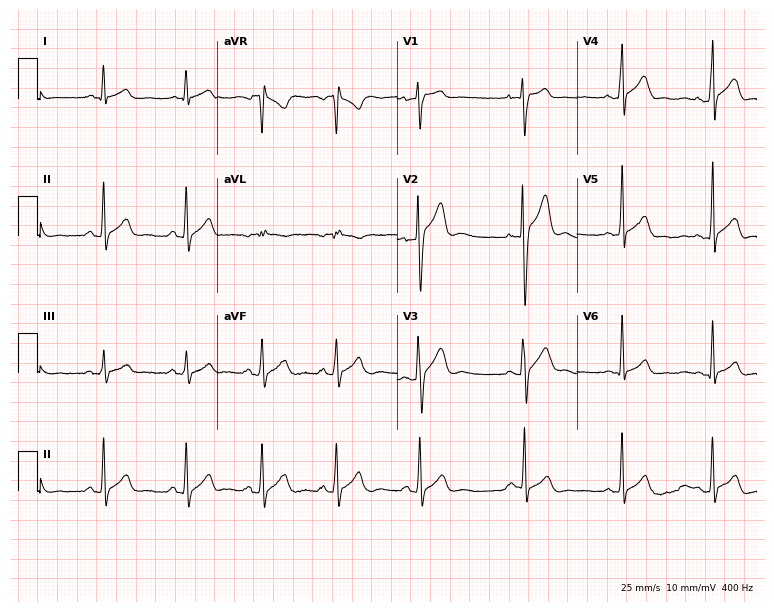
ECG (7.3-second recording at 400 Hz) — a 21-year-old man. Labelled as a normal ECG.